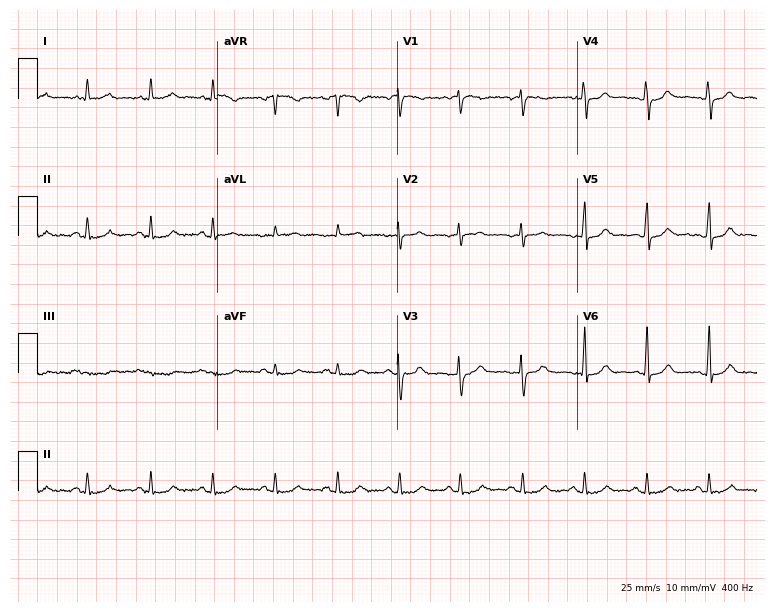
Standard 12-lead ECG recorded from a female, 46 years old (7.3-second recording at 400 Hz). Read as a normal ECG.